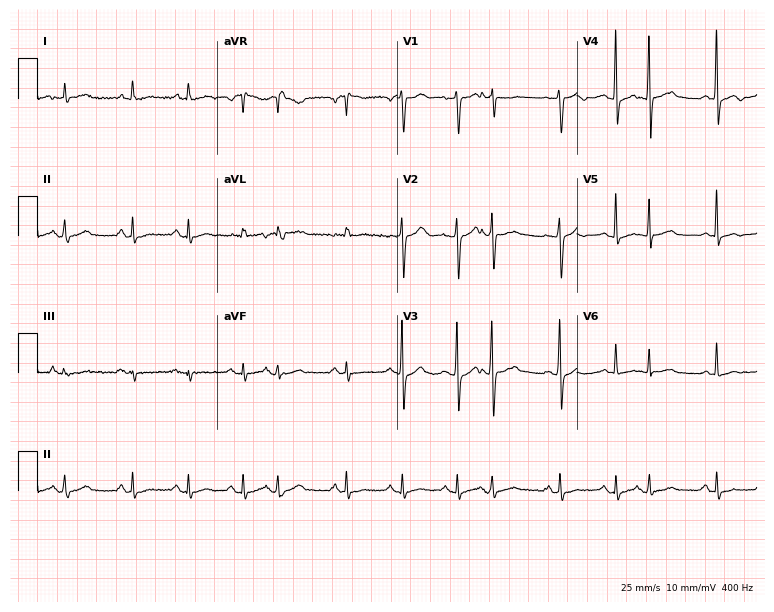
ECG (7.3-second recording at 400 Hz) — a female, 76 years old. Screened for six findings — first-degree AV block, right bundle branch block, left bundle branch block, sinus bradycardia, atrial fibrillation, sinus tachycardia — none is recorded. Other findings, if any, are not listed.